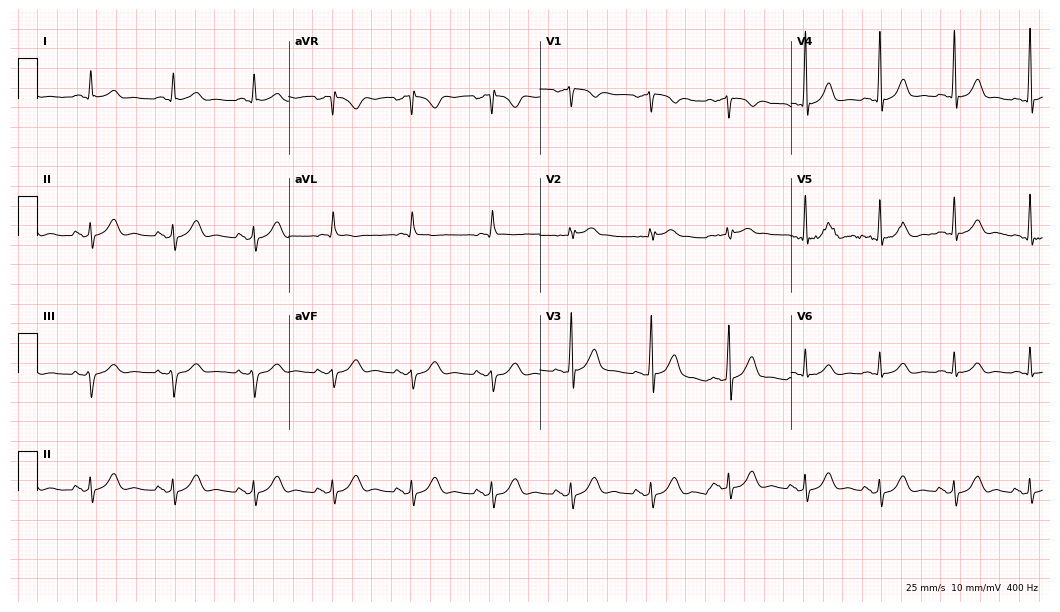
ECG — a 60-year-old man. Labelled as a normal ECG.